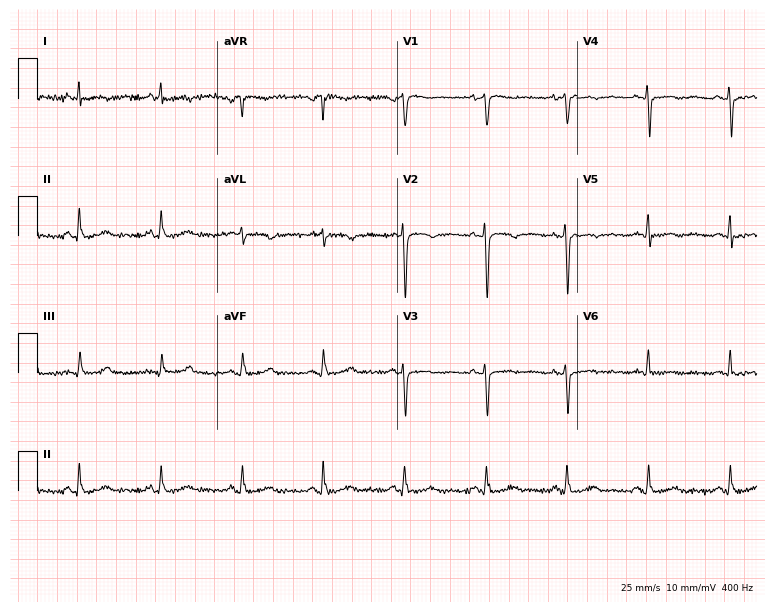
12-lead ECG from a 51-year-old woman. Labelled as a normal ECG.